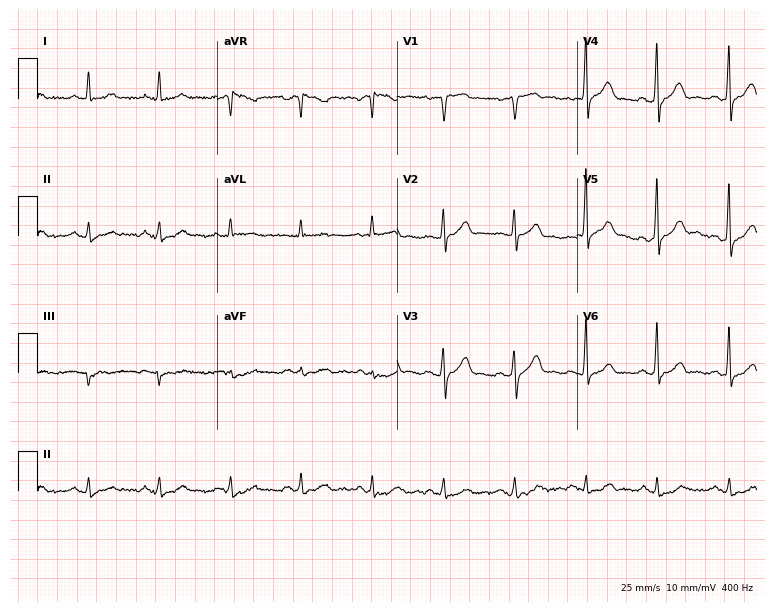
Resting 12-lead electrocardiogram (7.3-second recording at 400 Hz). Patient: a 61-year-old male. None of these six findings is recorded: first-degree AV block, right bundle branch block, left bundle branch block, sinus bradycardia, atrial fibrillation, sinus tachycardia.